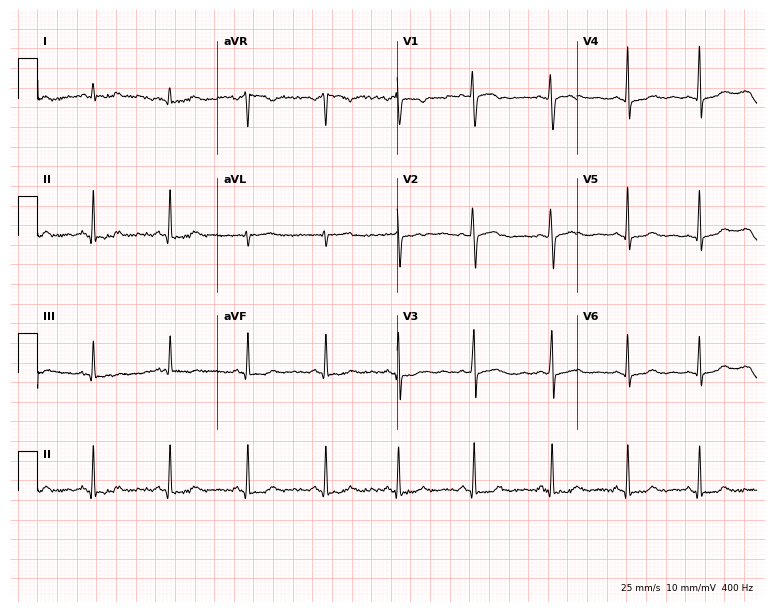
Resting 12-lead electrocardiogram (7.3-second recording at 400 Hz). Patient: a 32-year-old female. Read as a normal ECG.